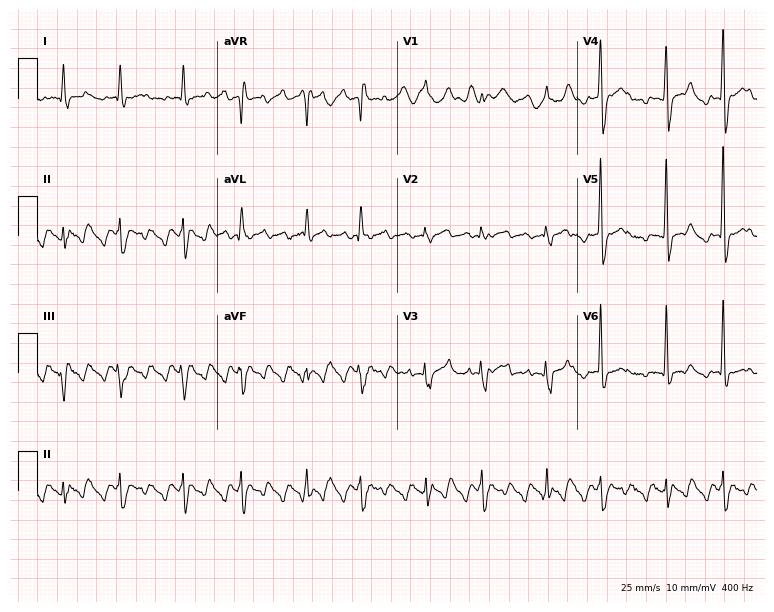
Resting 12-lead electrocardiogram. Patient: a 55-year-old male. None of these six findings is recorded: first-degree AV block, right bundle branch block, left bundle branch block, sinus bradycardia, atrial fibrillation, sinus tachycardia. Only these six findings were labelled.